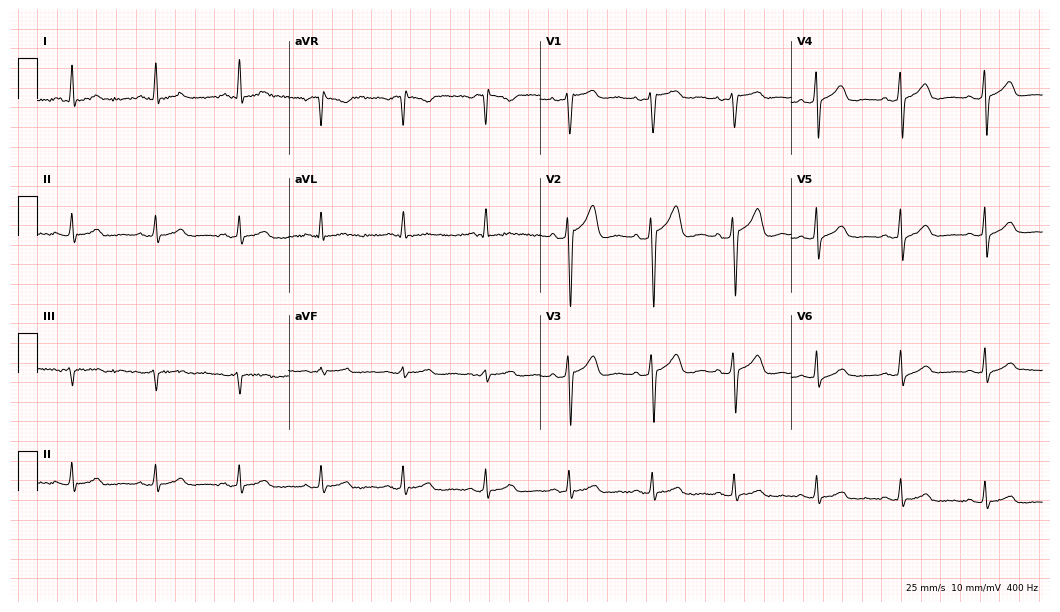
ECG — a 48-year-old male patient. Labelled as a normal ECG.